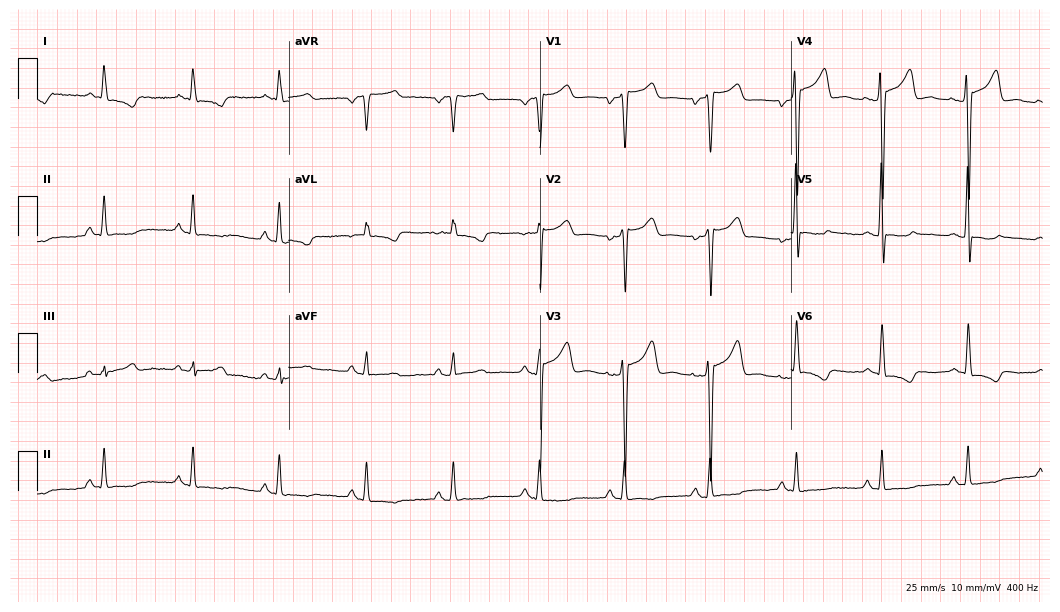
12-lead ECG (10.2-second recording at 400 Hz) from a 57-year-old female. Screened for six findings — first-degree AV block, right bundle branch block, left bundle branch block, sinus bradycardia, atrial fibrillation, sinus tachycardia — none is recorded.